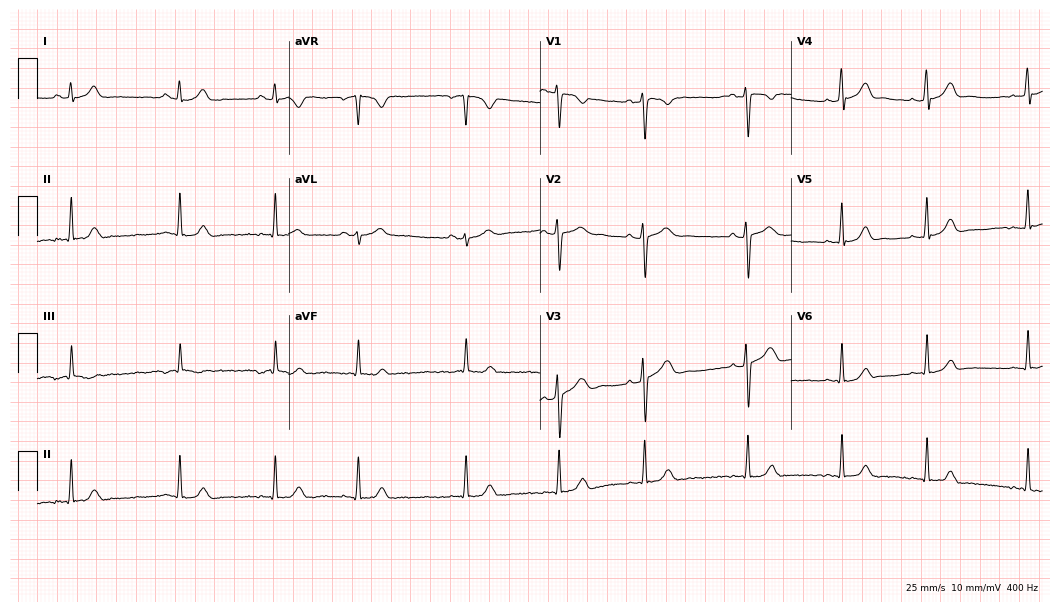
12-lead ECG from a 21-year-old female patient. Labelled as a normal ECG.